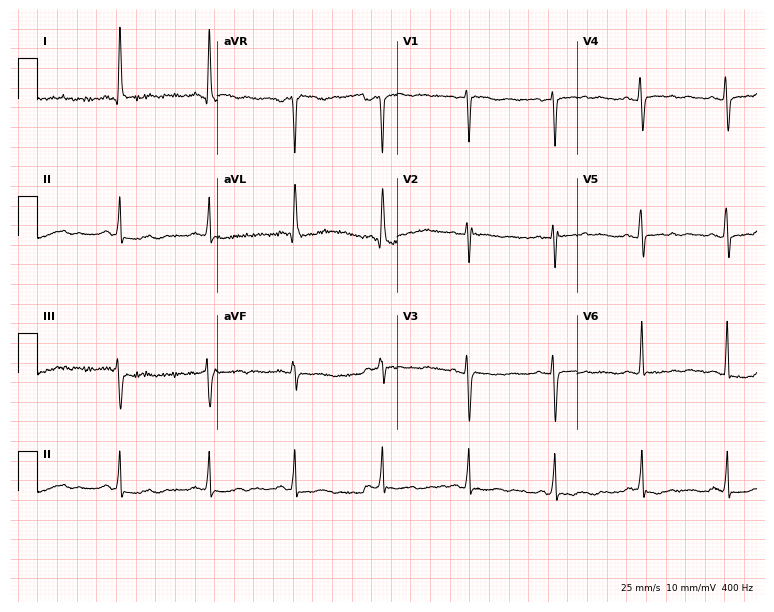
Electrocardiogram, a 54-year-old female. Of the six screened findings (first-degree AV block, right bundle branch block, left bundle branch block, sinus bradycardia, atrial fibrillation, sinus tachycardia), none is recorded. Findings outside these six are not listed.